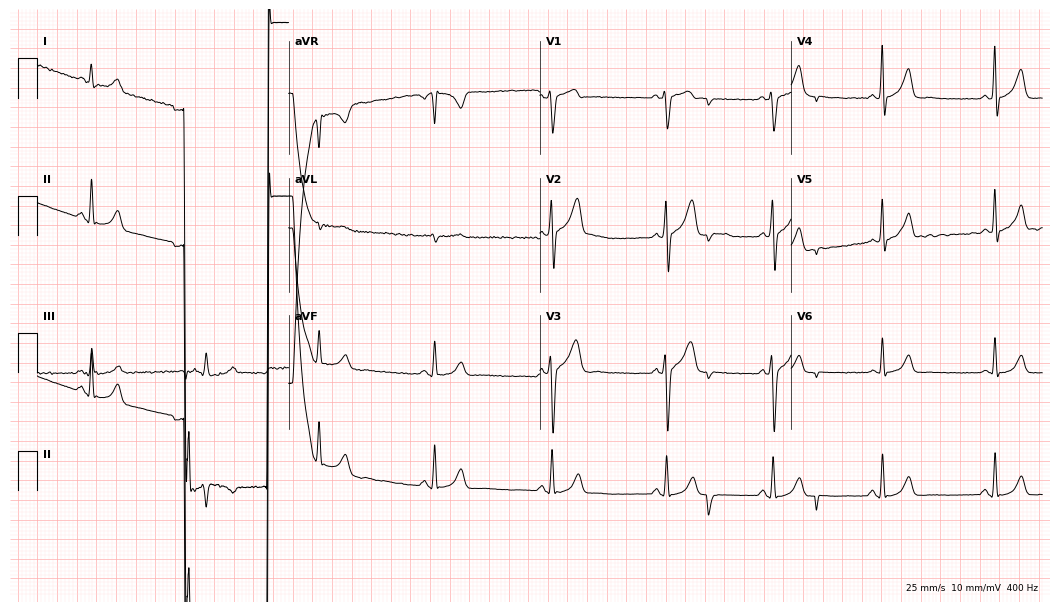
Electrocardiogram, a male, 35 years old. Of the six screened findings (first-degree AV block, right bundle branch block (RBBB), left bundle branch block (LBBB), sinus bradycardia, atrial fibrillation (AF), sinus tachycardia), none is recorded.